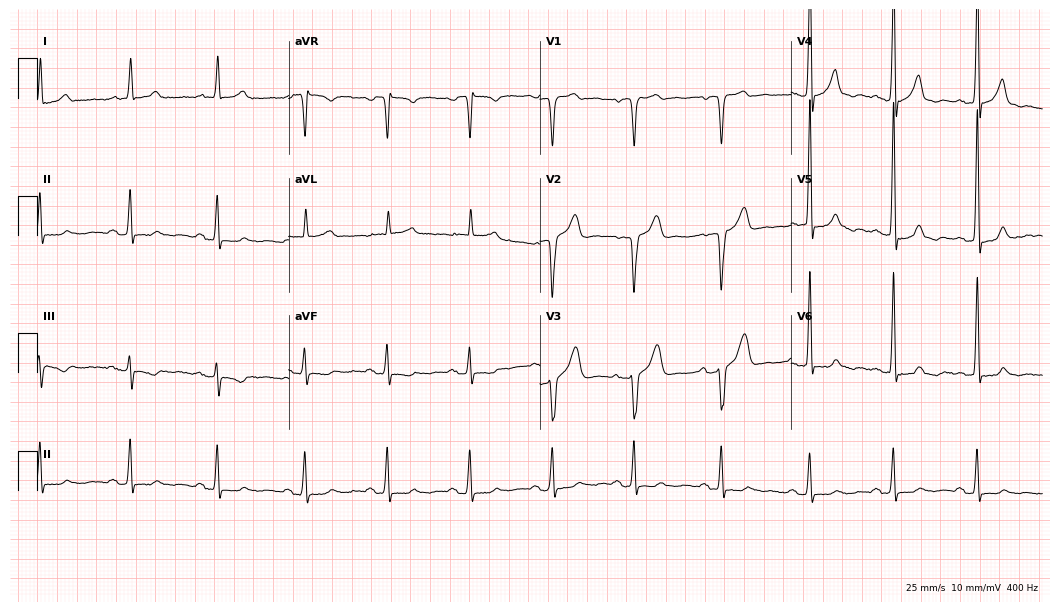
Standard 12-lead ECG recorded from a 67-year-old man. None of these six findings is recorded: first-degree AV block, right bundle branch block, left bundle branch block, sinus bradycardia, atrial fibrillation, sinus tachycardia. Other findings, if any, are not listed.